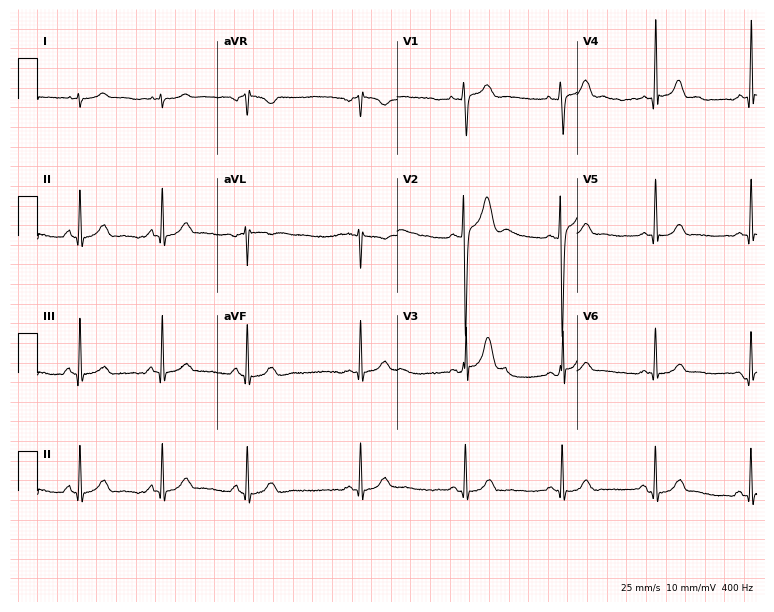
ECG — a 21-year-old male patient. Screened for six findings — first-degree AV block, right bundle branch block, left bundle branch block, sinus bradycardia, atrial fibrillation, sinus tachycardia — none is recorded. Only these six findings were labelled.